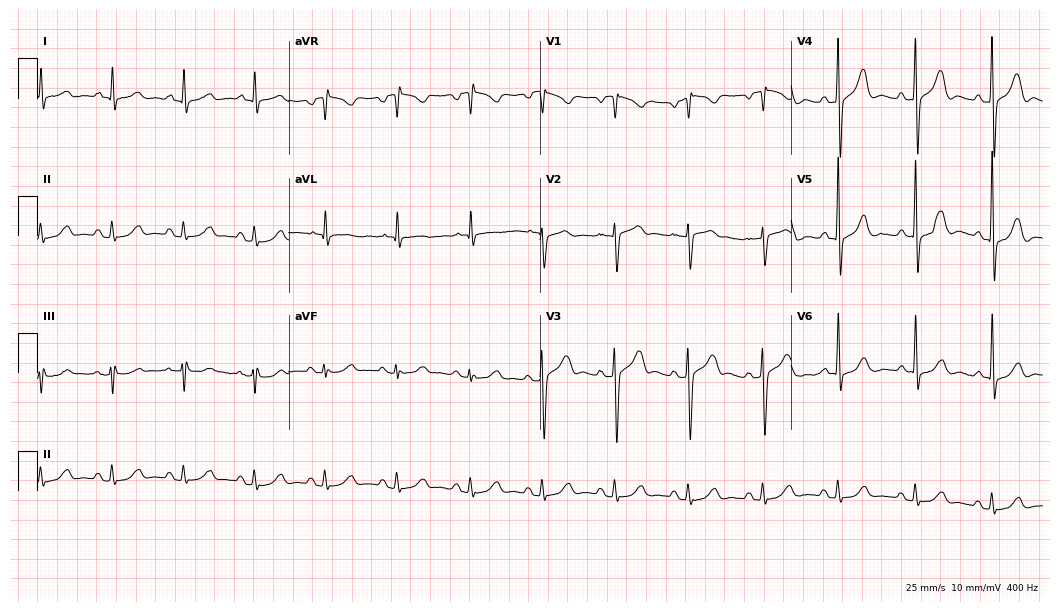
12-lead ECG from a man, 66 years old. No first-degree AV block, right bundle branch block, left bundle branch block, sinus bradycardia, atrial fibrillation or sinus tachycardia recorded for this tracing. Findings outside these six are not listed.